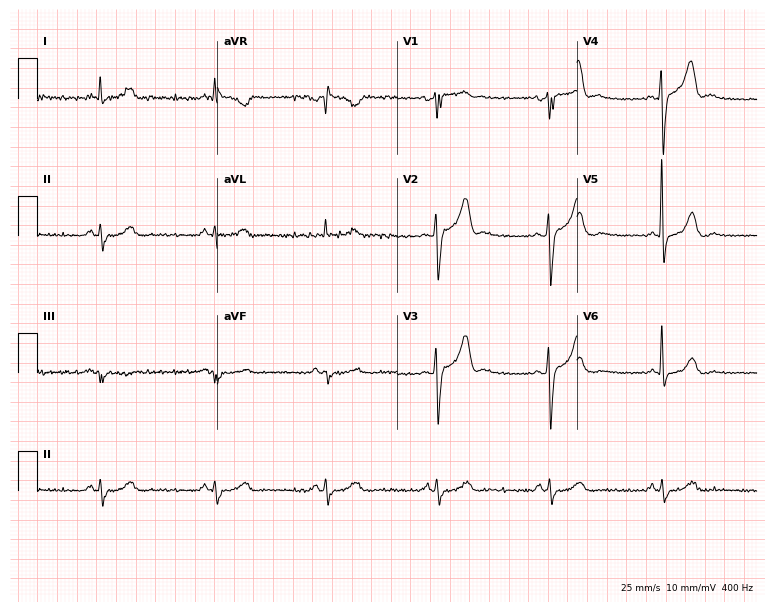
Standard 12-lead ECG recorded from a male patient, 51 years old. None of these six findings is recorded: first-degree AV block, right bundle branch block, left bundle branch block, sinus bradycardia, atrial fibrillation, sinus tachycardia. Findings outside these six are not listed.